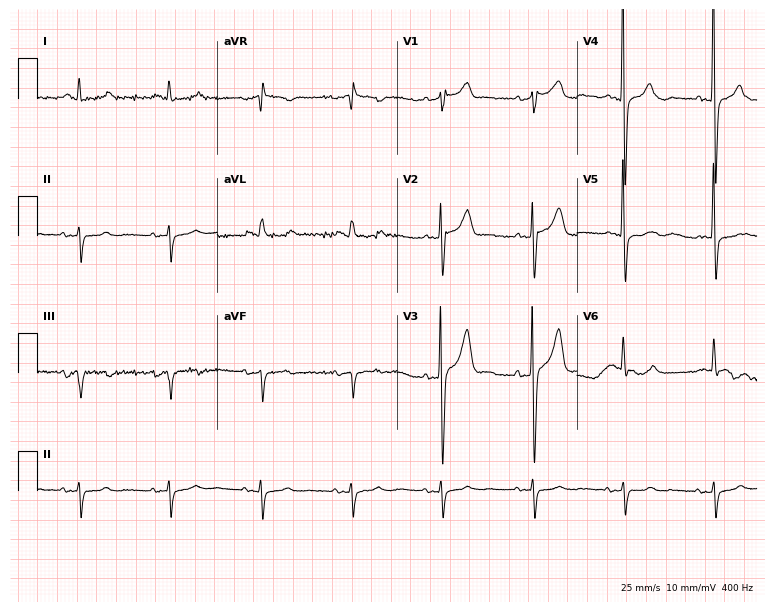
Resting 12-lead electrocardiogram. Patient: a 55-year-old male. None of these six findings is recorded: first-degree AV block, right bundle branch block, left bundle branch block, sinus bradycardia, atrial fibrillation, sinus tachycardia.